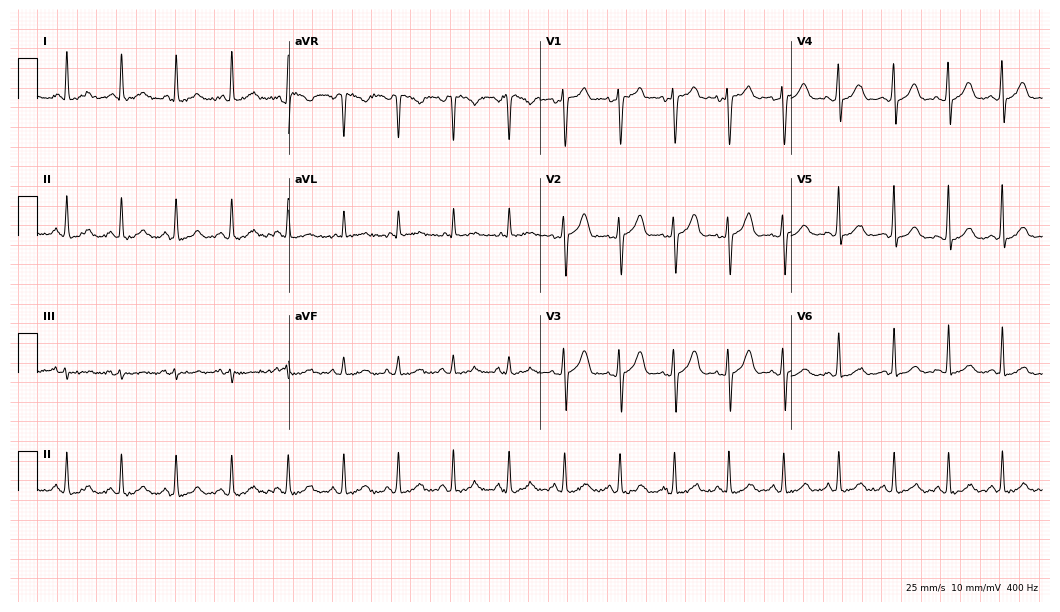
12-lead ECG from a woman, 45 years old. Screened for six findings — first-degree AV block, right bundle branch block, left bundle branch block, sinus bradycardia, atrial fibrillation, sinus tachycardia — none is recorded. Only these six findings were labelled.